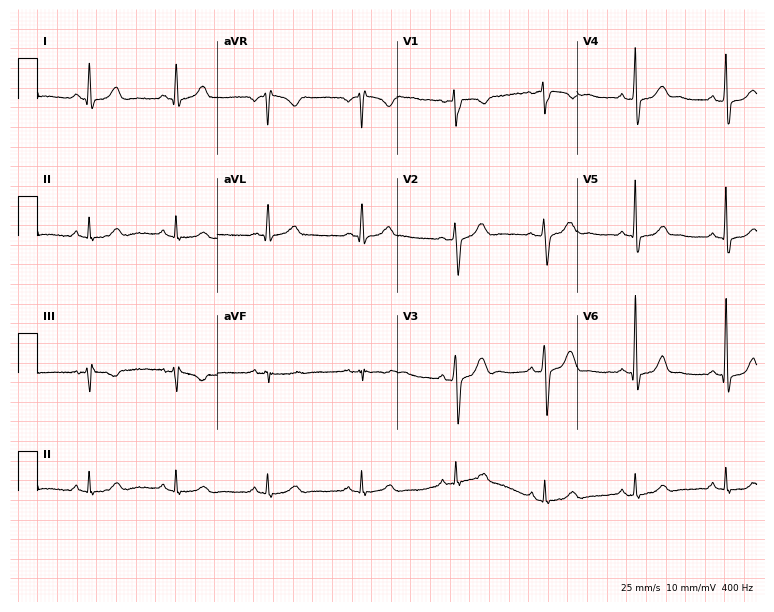
ECG (7.3-second recording at 400 Hz) — a 37-year-old male. Labelled as a normal ECG.